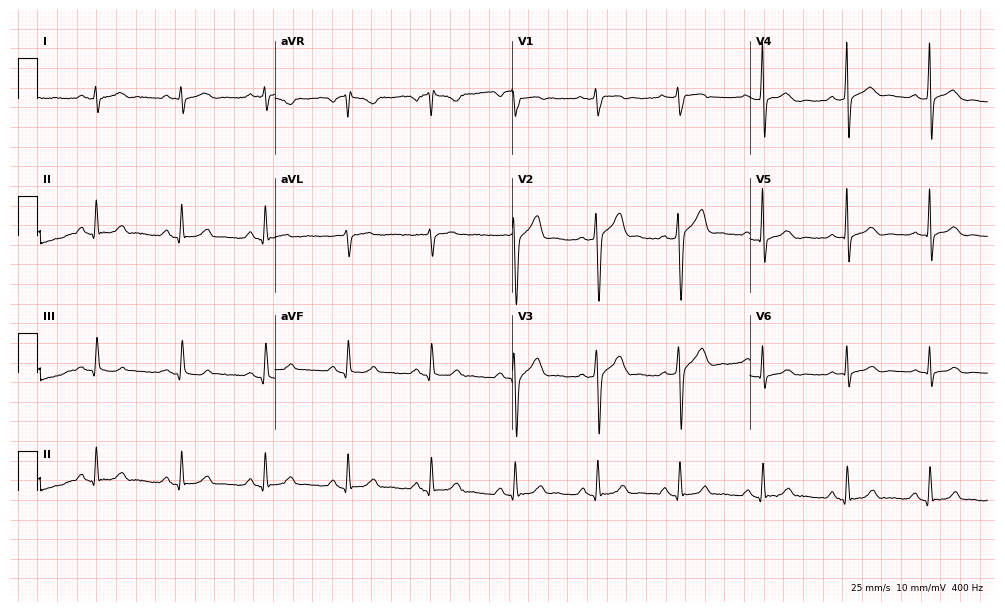
ECG (9.7-second recording at 400 Hz) — a 44-year-old man. Labelled as a normal ECG.